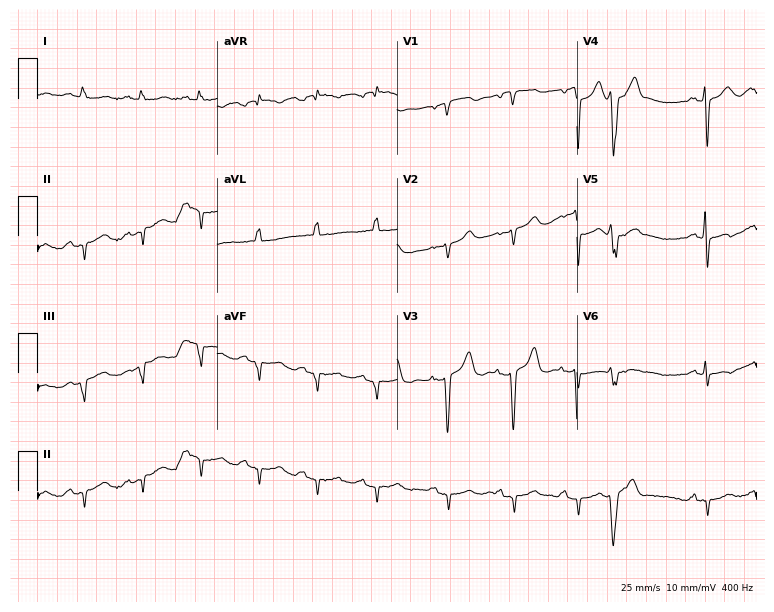
12-lead ECG from an 82-year-old woman. No first-degree AV block, right bundle branch block, left bundle branch block, sinus bradycardia, atrial fibrillation or sinus tachycardia recorded for this tracing.